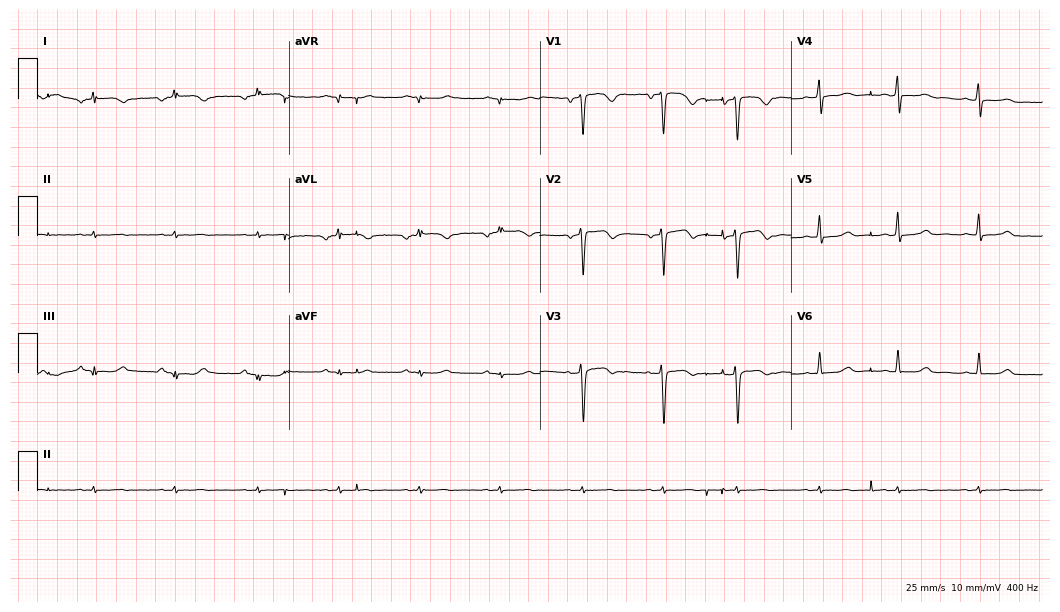
Electrocardiogram (10.2-second recording at 400 Hz), a 43-year-old female patient. Of the six screened findings (first-degree AV block, right bundle branch block (RBBB), left bundle branch block (LBBB), sinus bradycardia, atrial fibrillation (AF), sinus tachycardia), none is recorded. Other findings, if any, are not listed.